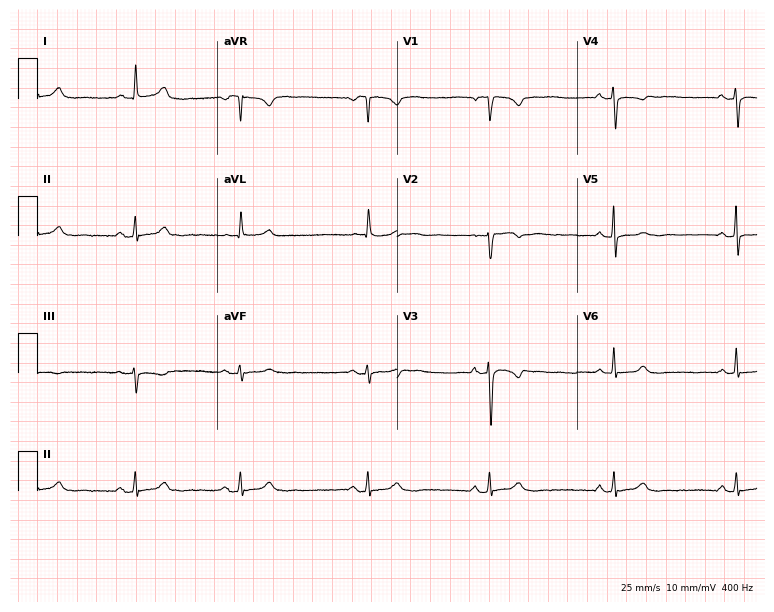
Standard 12-lead ECG recorded from a female, 67 years old. Read as a normal ECG.